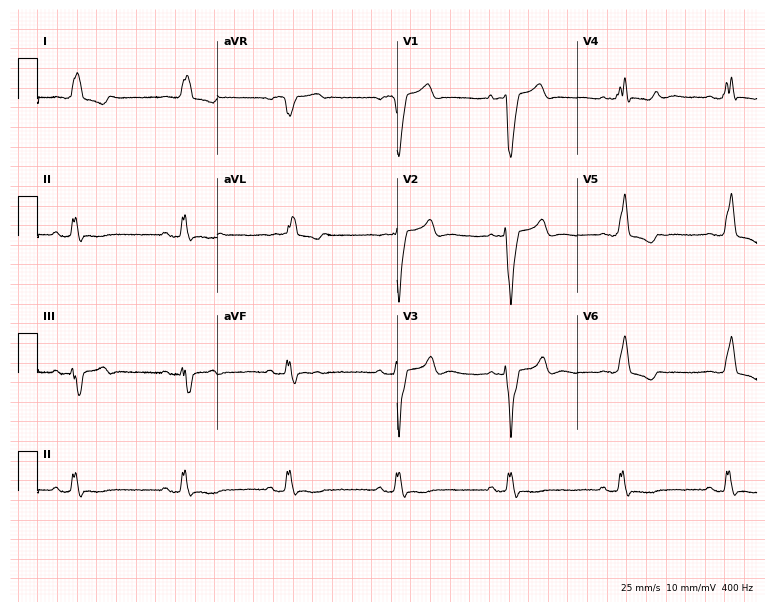
Resting 12-lead electrocardiogram (7.3-second recording at 400 Hz). Patient: a 57-year-old man. The tracing shows left bundle branch block.